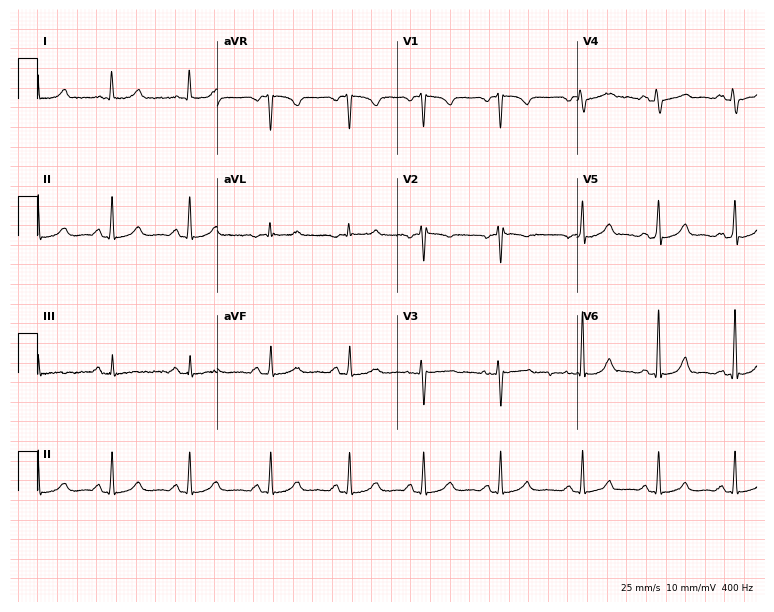
ECG (7.3-second recording at 400 Hz) — a female patient, 33 years old. Screened for six findings — first-degree AV block, right bundle branch block (RBBB), left bundle branch block (LBBB), sinus bradycardia, atrial fibrillation (AF), sinus tachycardia — none is recorded. Other findings, if any, are not listed.